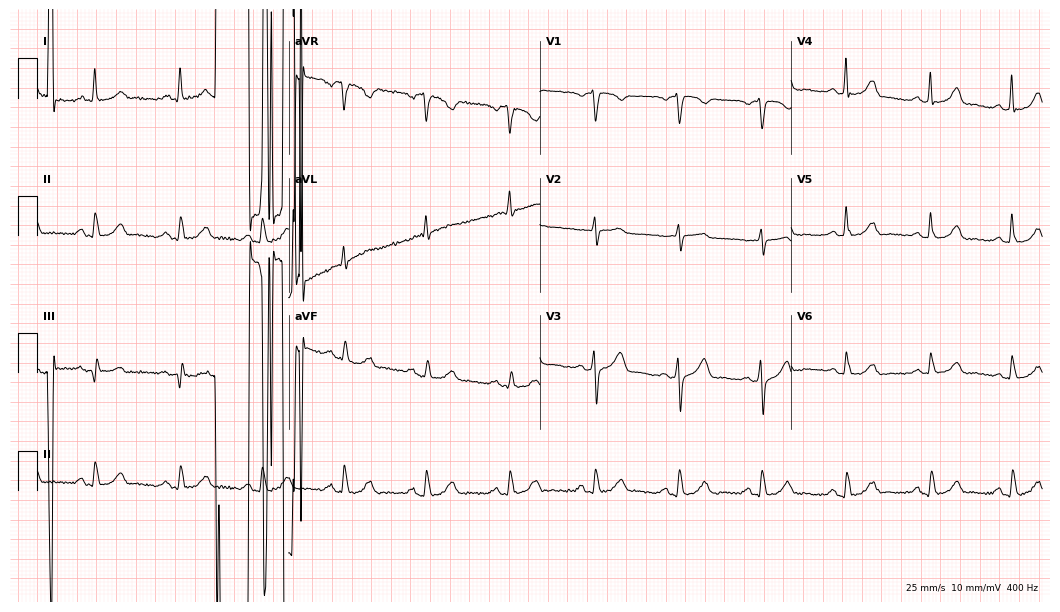
Resting 12-lead electrocardiogram (10.2-second recording at 400 Hz). Patient: a 68-year-old female. None of these six findings is recorded: first-degree AV block, right bundle branch block, left bundle branch block, sinus bradycardia, atrial fibrillation, sinus tachycardia. Only these six findings were labelled.